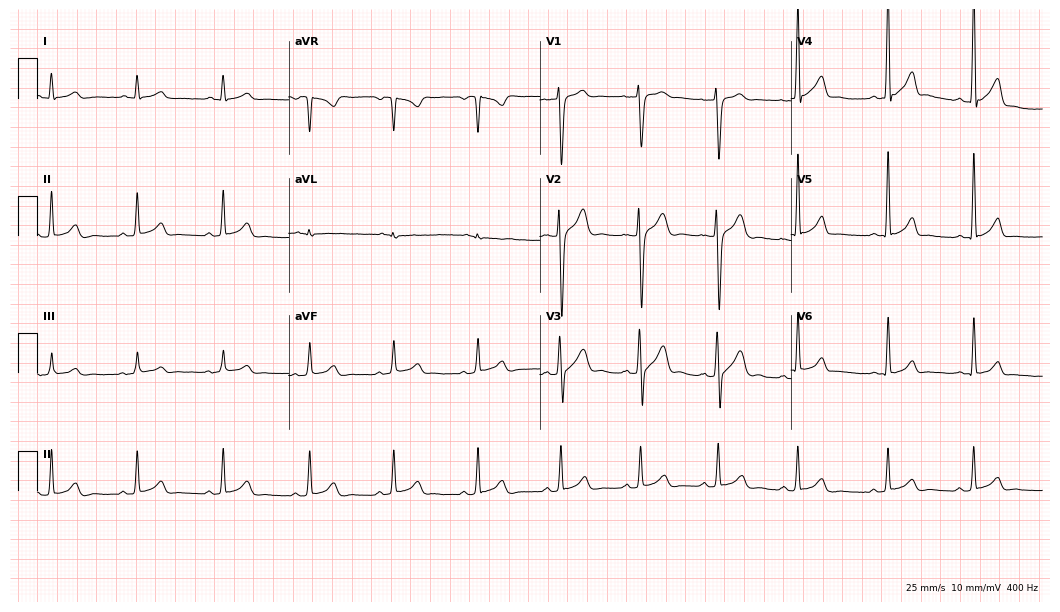
Standard 12-lead ECG recorded from a male, 19 years old. Read as a normal ECG.